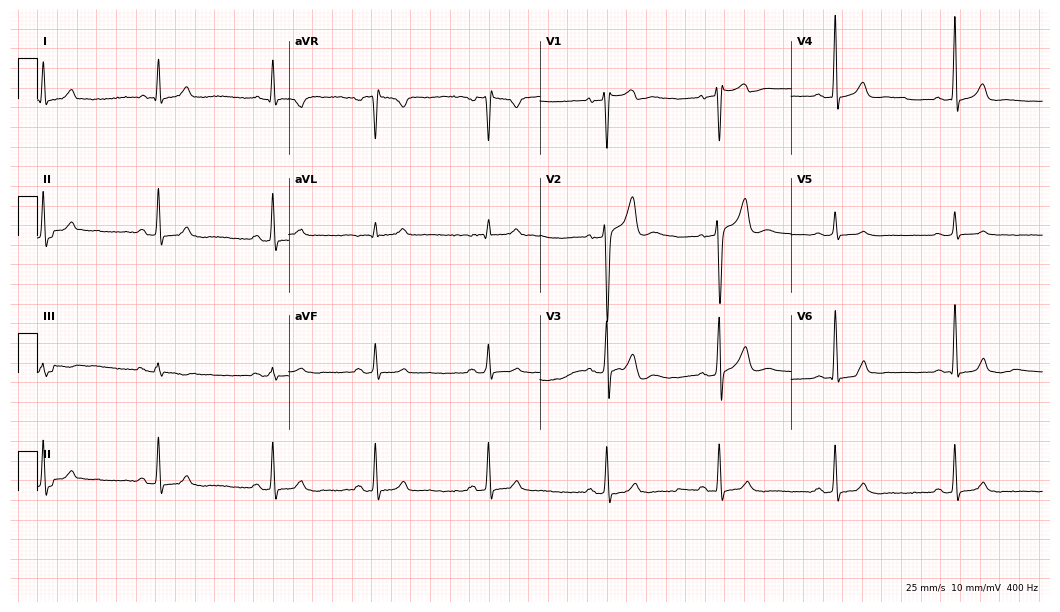
12-lead ECG from a male, 28 years old. Screened for six findings — first-degree AV block, right bundle branch block, left bundle branch block, sinus bradycardia, atrial fibrillation, sinus tachycardia — none is recorded. Only these six findings were labelled.